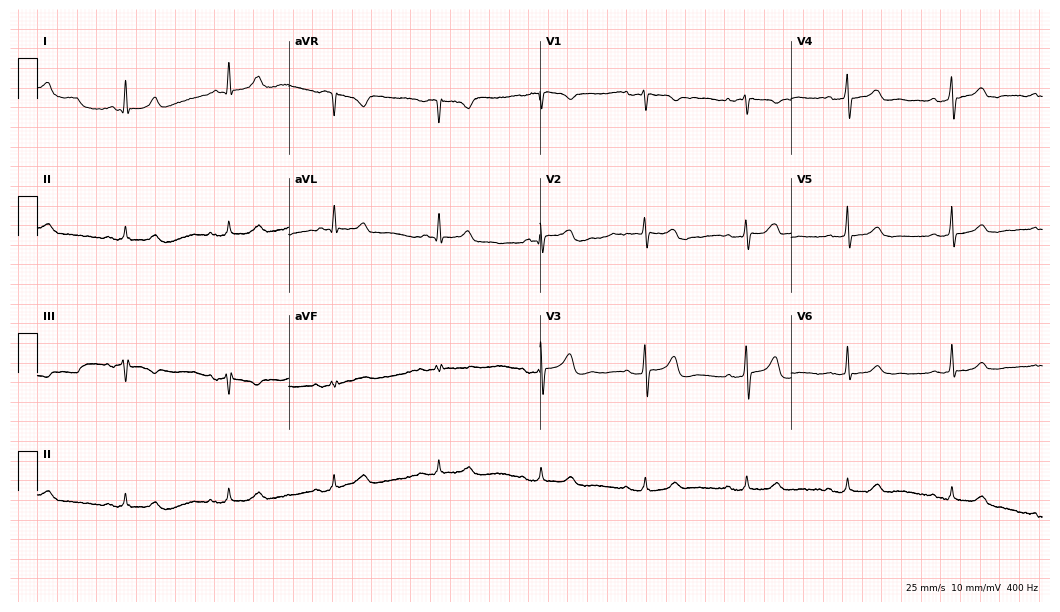
12-lead ECG from a woman, 75 years old (10.2-second recording at 400 Hz). Recorded interpretation: within normal limits.